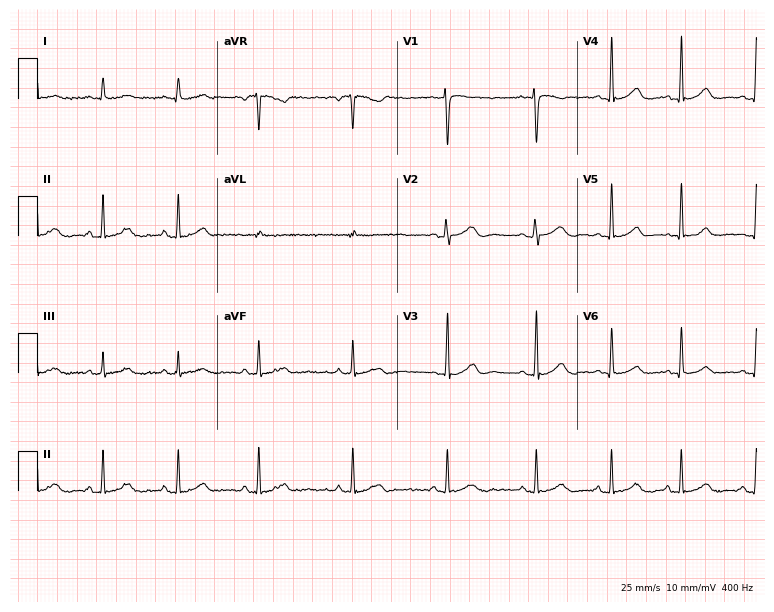
Electrocardiogram, a female, 34 years old. Overall reading on record: normal ECG.